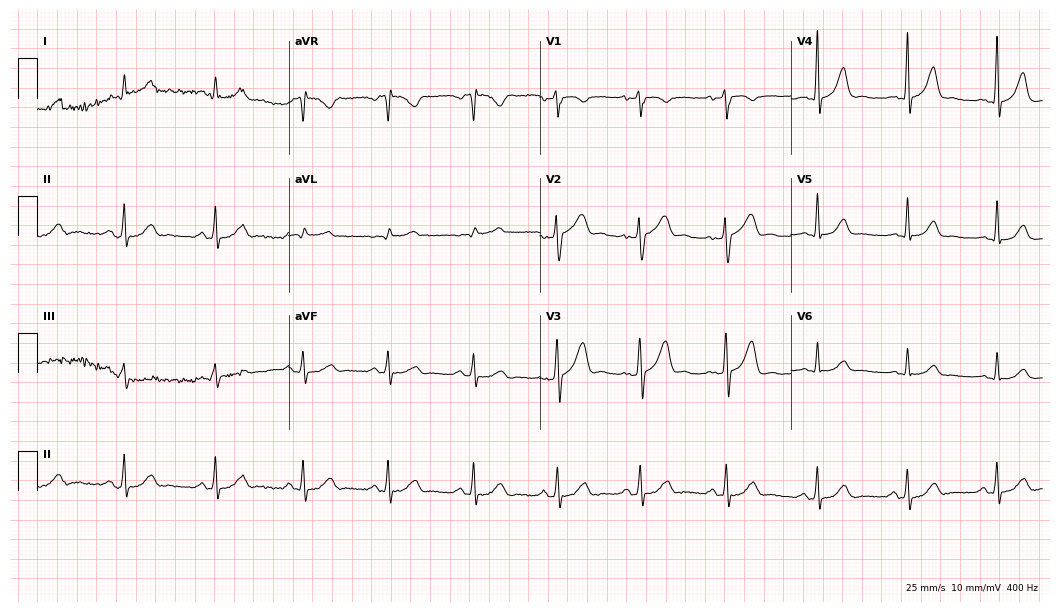
Electrocardiogram, a male patient, 39 years old. Overall reading on record: normal ECG.